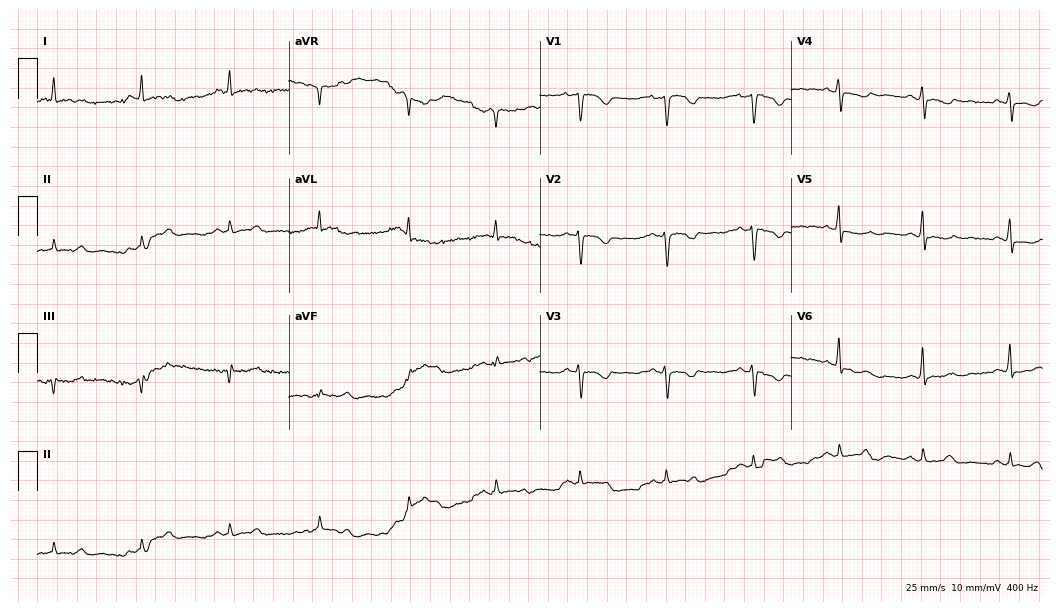
12-lead ECG (10.2-second recording at 400 Hz) from a female, 49 years old. Screened for six findings — first-degree AV block, right bundle branch block, left bundle branch block, sinus bradycardia, atrial fibrillation, sinus tachycardia — none is recorded. Only these six findings were labelled.